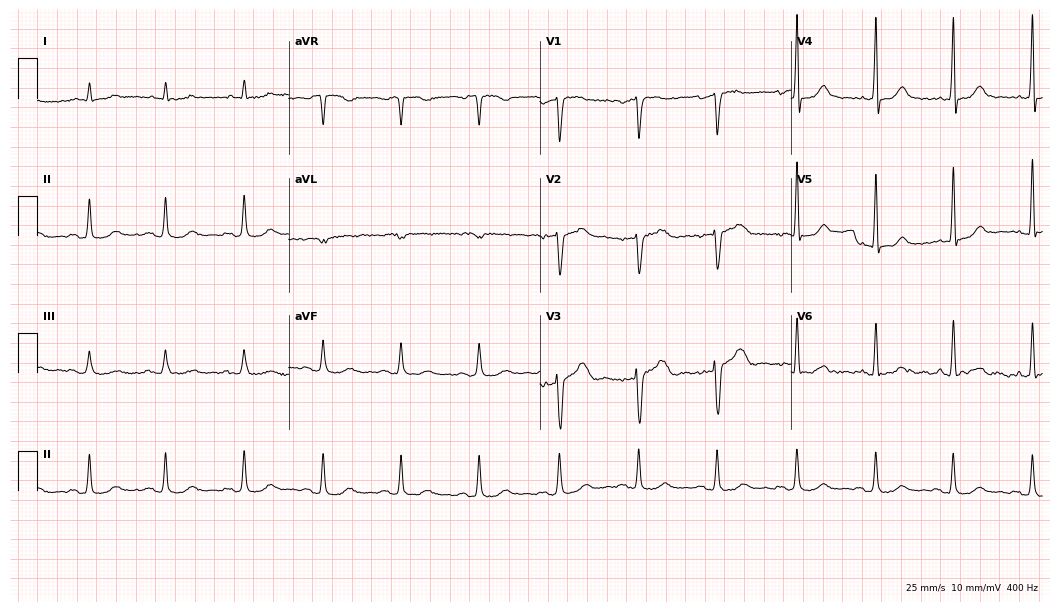
12-lead ECG from a male, 40 years old. Screened for six findings — first-degree AV block, right bundle branch block, left bundle branch block, sinus bradycardia, atrial fibrillation, sinus tachycardia — none is recorded. Only these six findings were labelled.